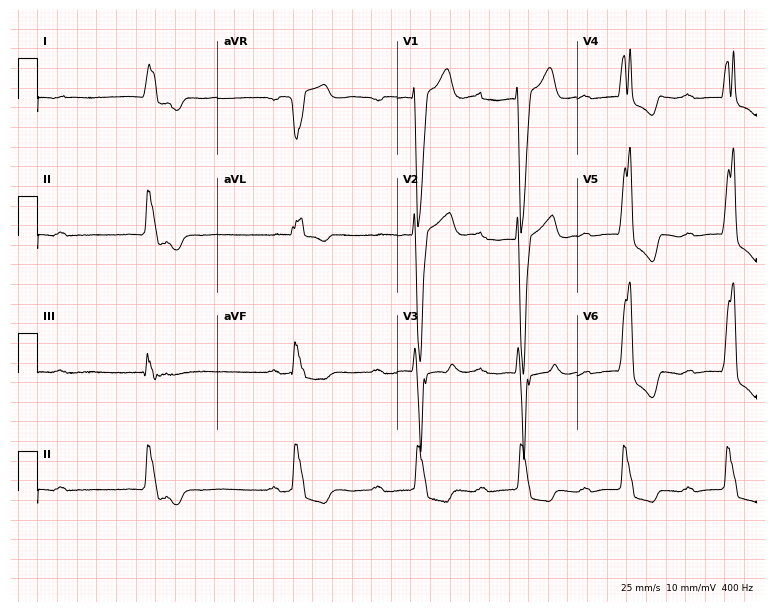
Standard 12-lead ECG recorded from an 81-year-old male patient. The tracing shows left bundle branch block.